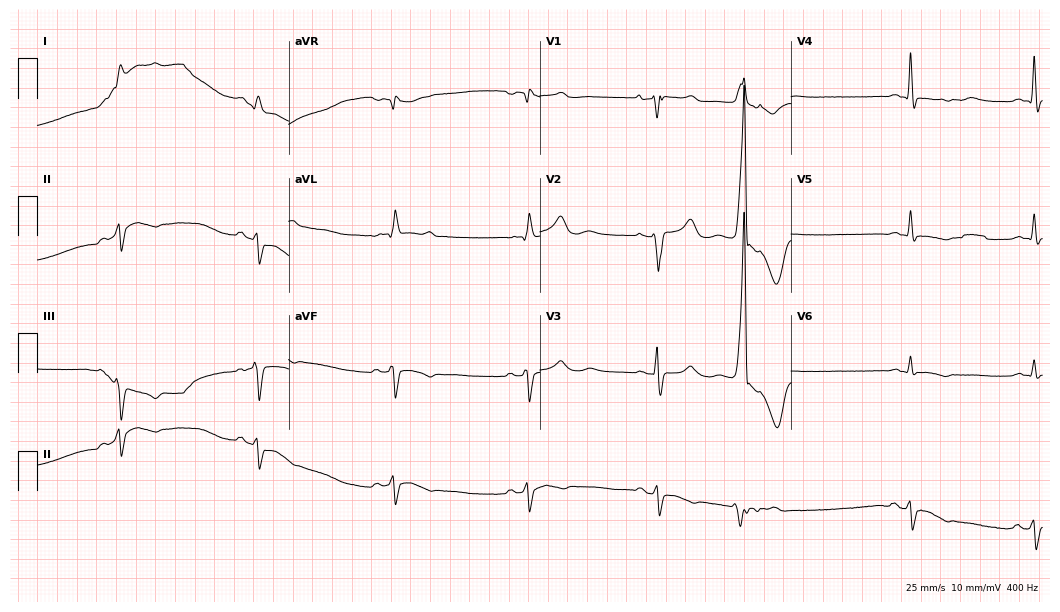
ECG — an 84-year-old male. Screened for six findings — first-degree AV block, right bundle branch block, left bundle branch block, sinus bradycardia, atrial fibrillation, sinus tachycardia — none is recorded. Only these six findings were labelled.